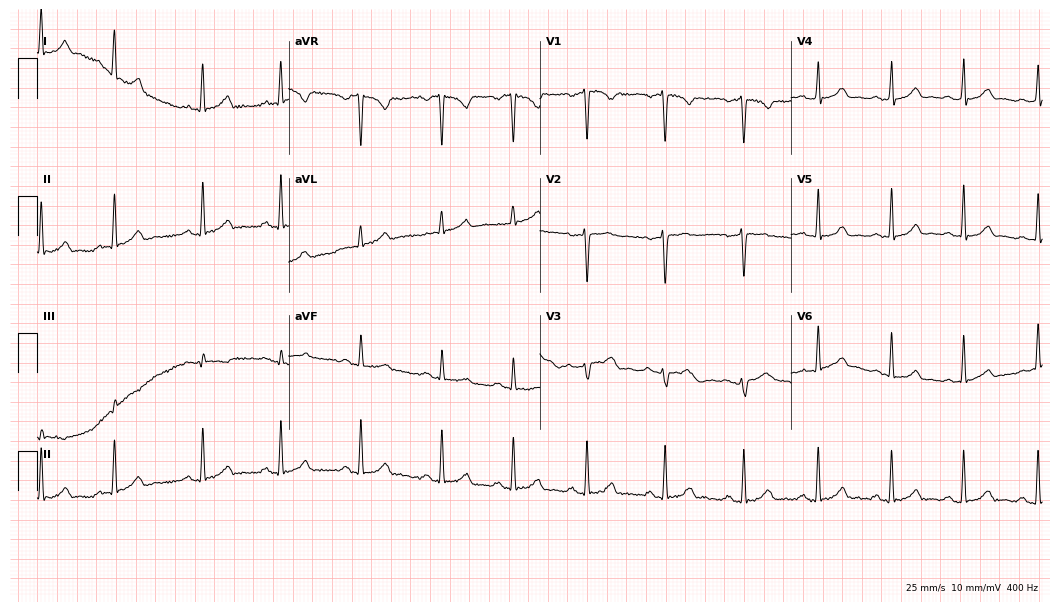
12-lead ECG from a 22-year-old female (10.2-second recording at 400 Hz). No first-degree AV block, right bundle branch block, left bundle branch block, sinus bradycardia, atrial fibrillation or sinus tachycardia recorded for this tracing. Findings outside these six are not listed.